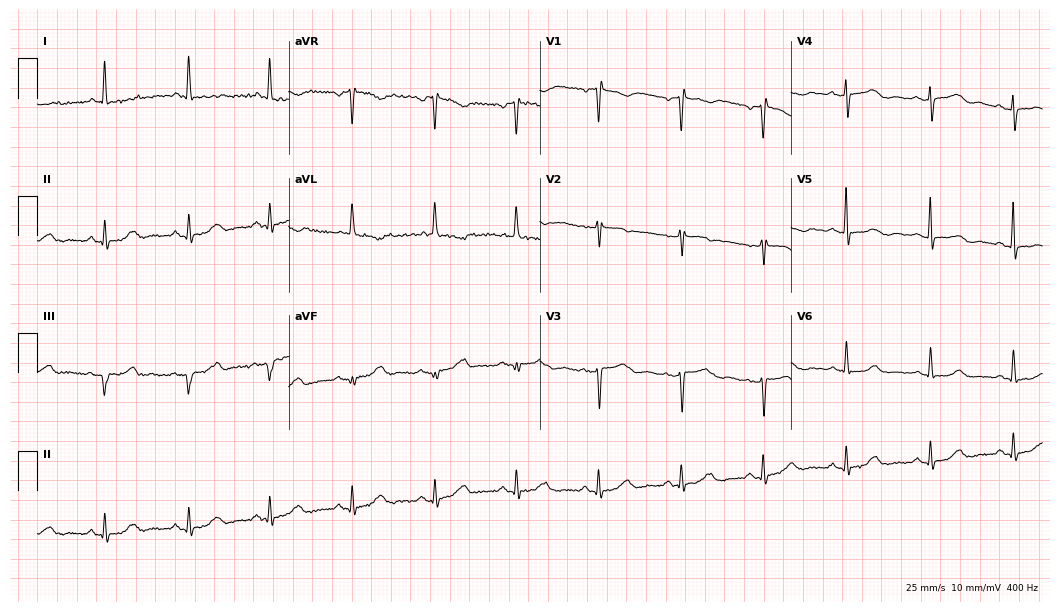
12-lead ECG from a 77-year-old female patient. Labelled as a normal ECG.